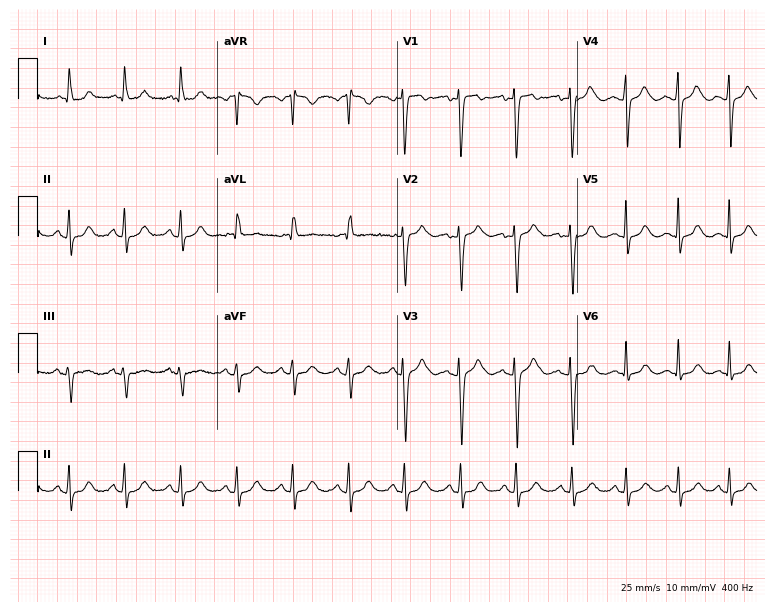
Electrocardiogram, a 36-year-old woman. Of the six screened findings (first-degree AV block, right bundle branch block, left bundle branch block, sinus bradycardia, atrial fibrillation, sinus tachycardia), none is recorded.